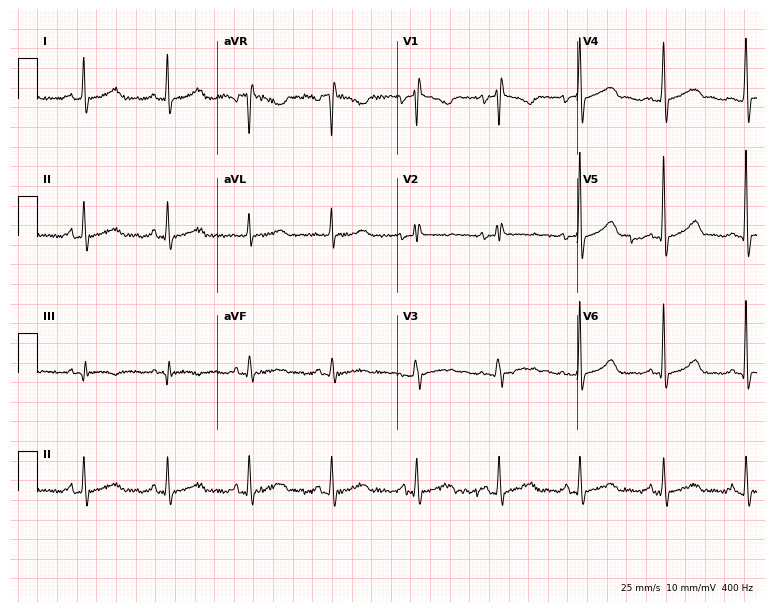
Electrocardiogram (7.3-second recording at 400 Hz), a female, 44 years old. Of the six screened findings (first-degree AV block, right bundle branch block (RBBB), left bundle branch block (LBBB), sinus bradycardia, atrial fibrillation (AF), sinus tachycardia), none is recorded.